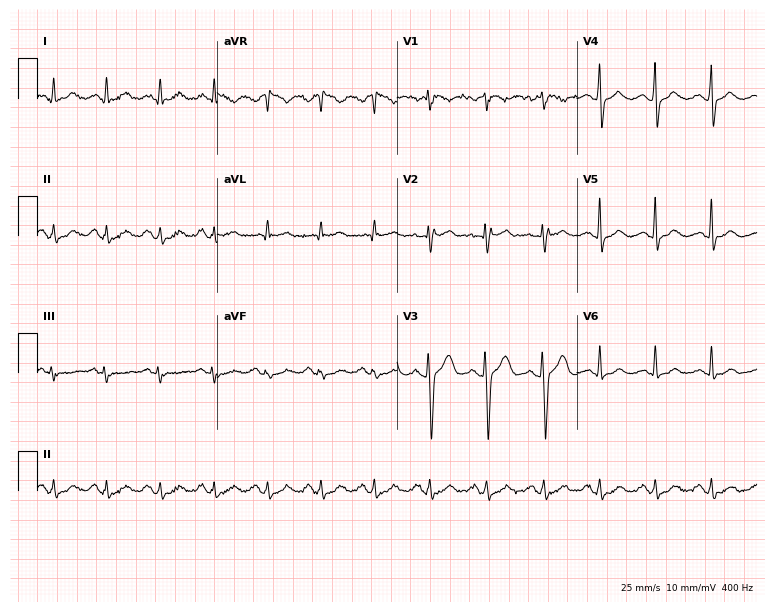
ECG (7.3-second recording at 400 Hz) — a 48-year-old female patient. Findings include sinus tachycardia (a sinus rate of 100 beats per minute or more).